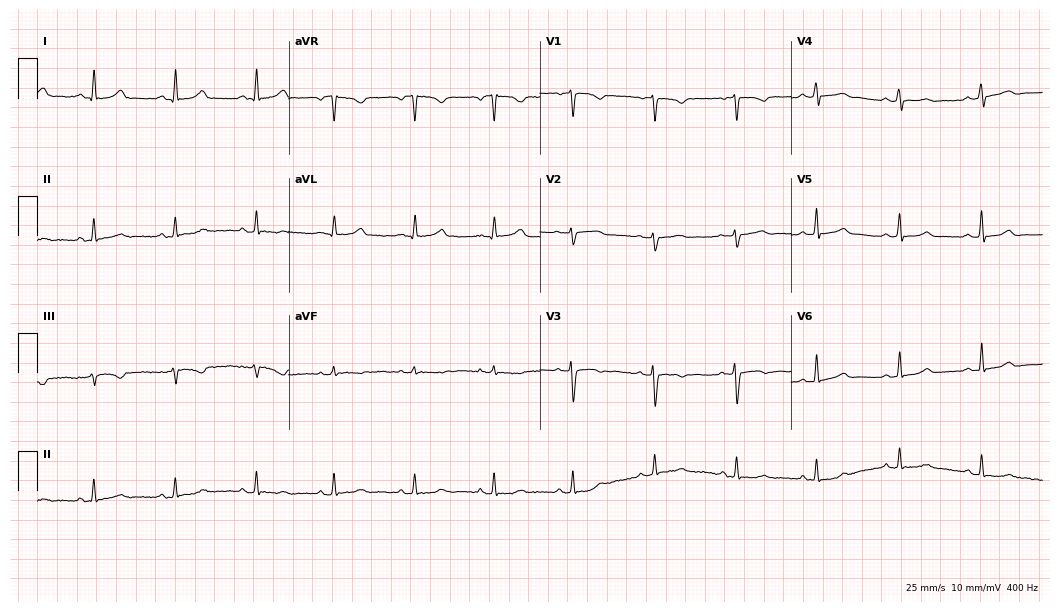
12-lead ECG from a 36-year-old female. Labelled as a normal ECG.